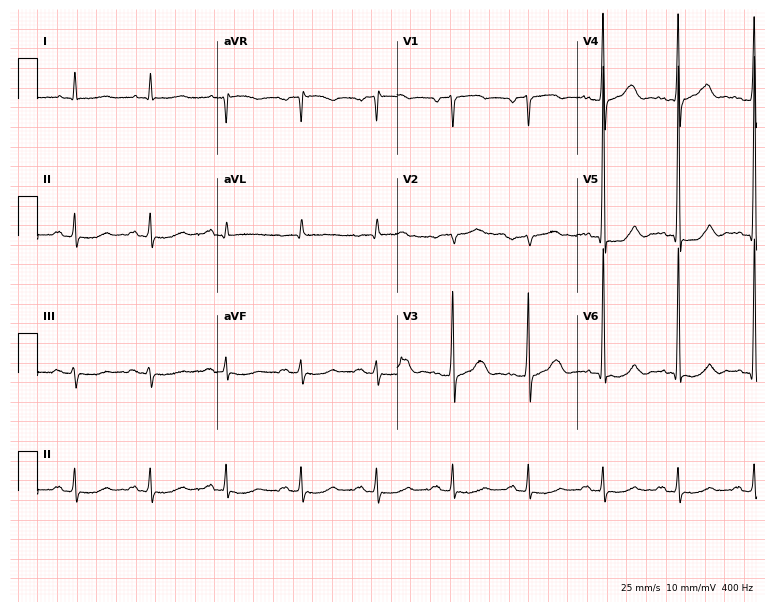
12-lead ECG from an 84-year-old man. No first-degree AV block, right bundle branch block (RBBB), left bundle branch block (LBBB), sinus bradycardia, atrial fibrillation (AF) or sinus tachycardia recorded for this tracing. Only these six findings were labelled.